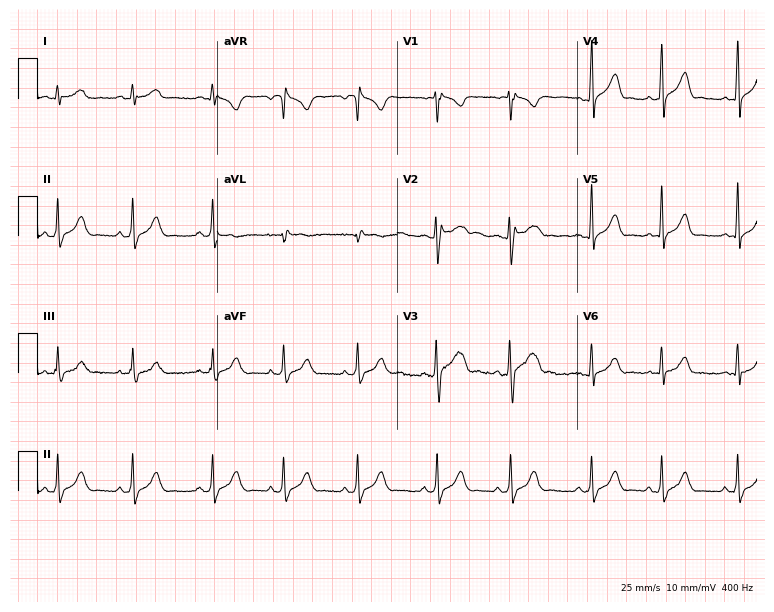
ECG — a man, 21 years old. Screened for six findings — first-degree AV block, right bundle branch block (RBBB), left bundle branch block (LBBB), sinus bradycardia, atrial fibrillation (AF), sinus tachycardia — none is recorded. Findings outside these six are not listed.